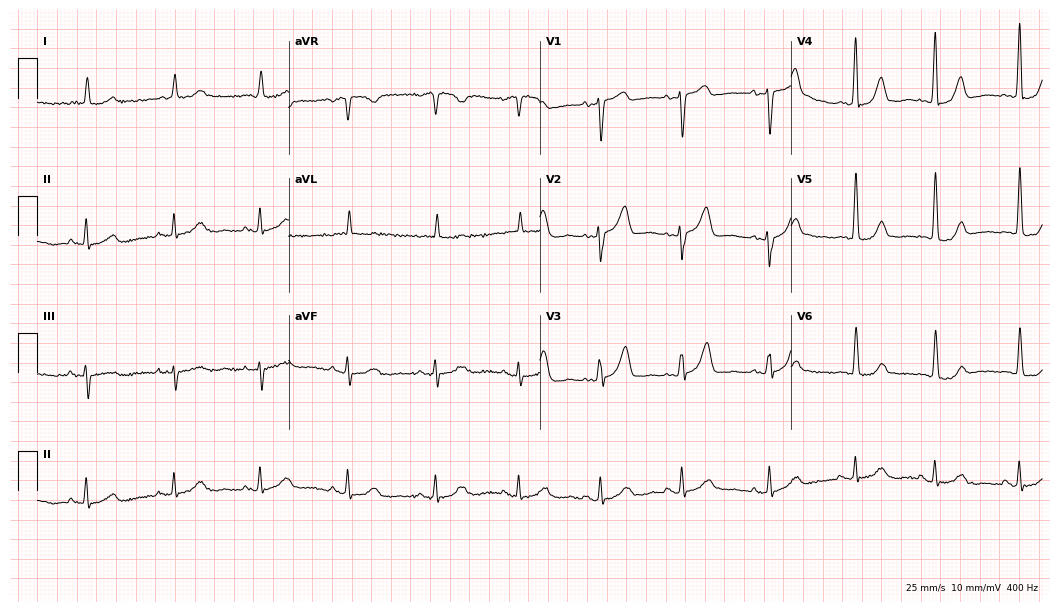
ECG (10.2-second recording at 400 Hz) — an 80-year-old female patient. Screened for six findings — first-degree AV block, right bundle branch block (RBBB), left bundle branch block (LBBB), sinus bradycardia, atrial fibrillation (AF), sinus tachycardia — none is recorded.